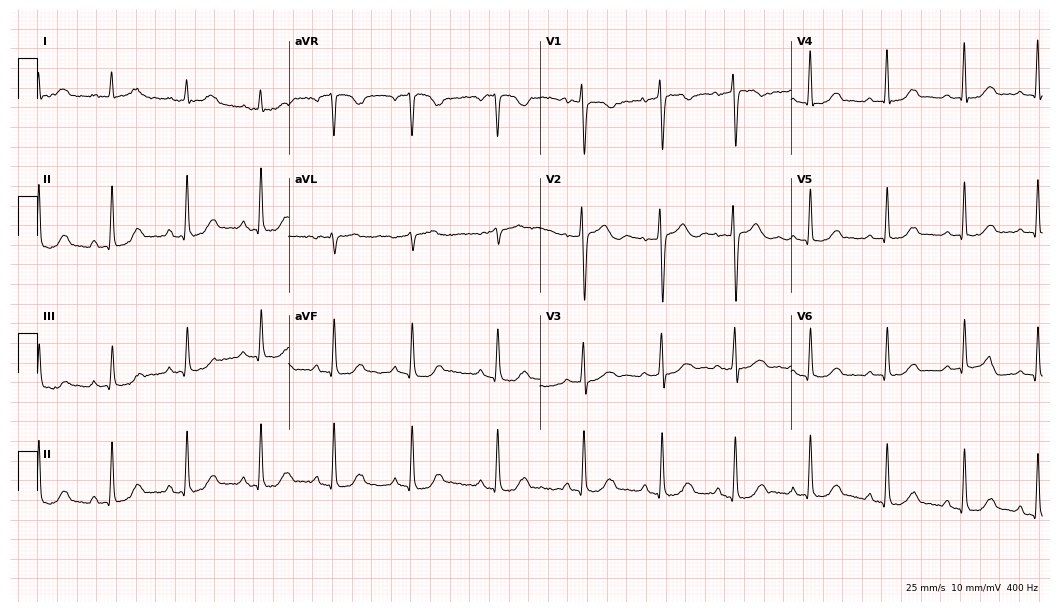
12-lead ECG from a female patient, 42 years old. Labelled as a normal ECG.